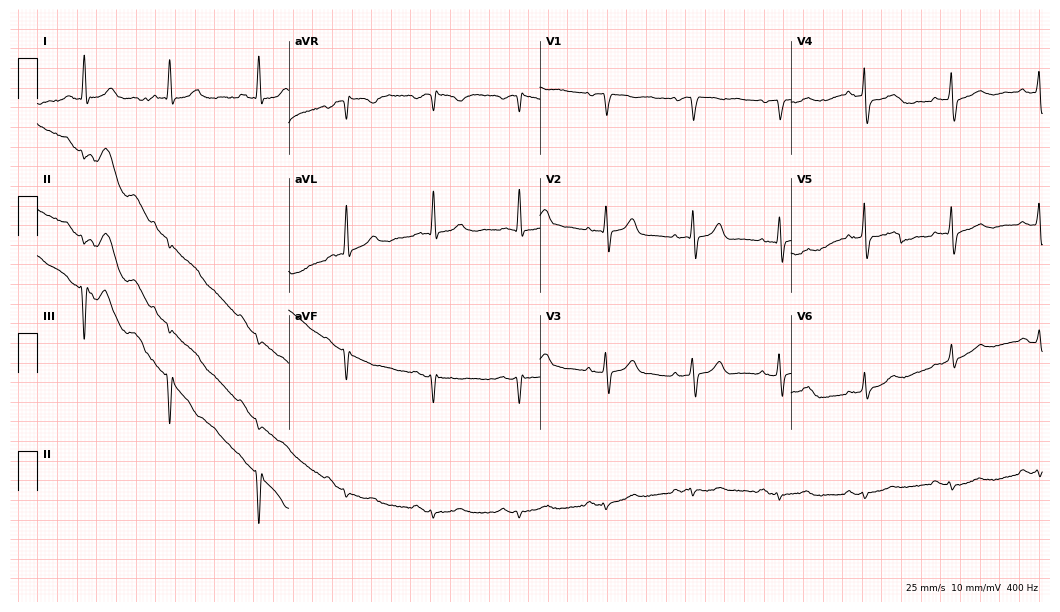
Standard 12-lead ECG recorded from a 78-year-old man (10.2-second recording at 400 Hz). None of these six findings is recorded: first-degree AV block, right bundle branch block (RBBB), left bundle branch block (LBBB), sinus bradycardia, atrial fibrillation (AF), sinus tachycardia. Findings outside these six are not listed.